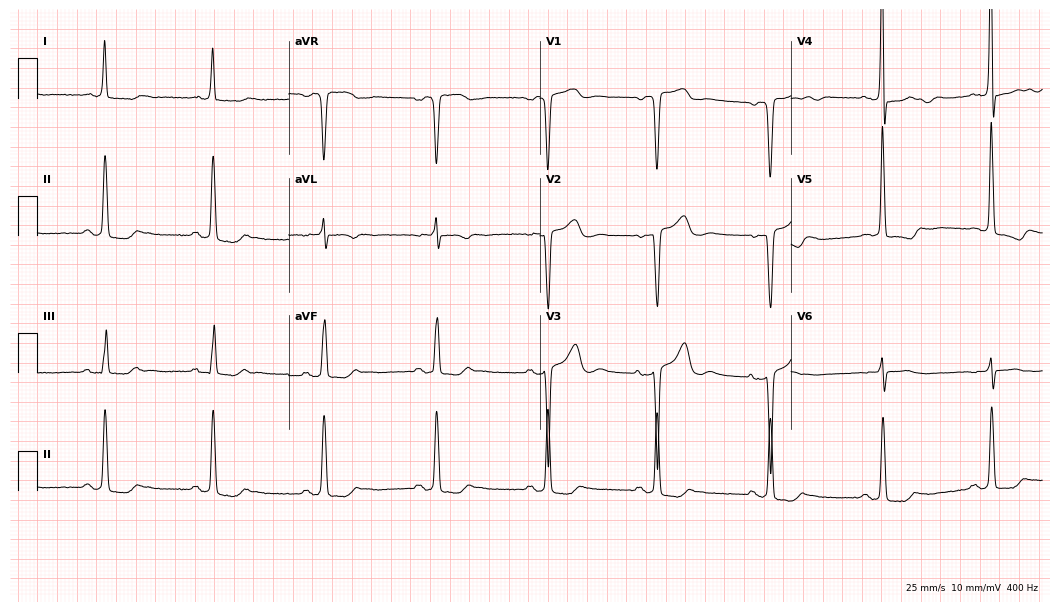
Electrocardiogram, a woman, 81 years old. Of the six screened findings (first-degree AV block, right bundle branch block, left bundle branch block, sinus bradycardia, atrial fibrillation, sinus tachycardia), none is recorded.